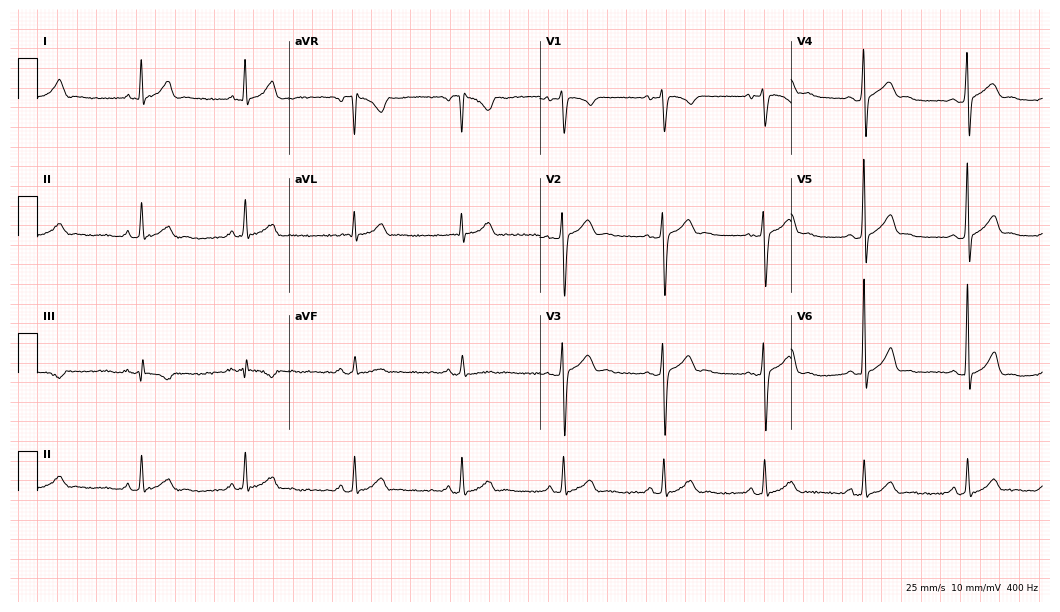
Resting 12-lead electrocardiogram (10.2-second recording at 400 Hz). Patient: a 34-year-old man. Read as a normal ECG.